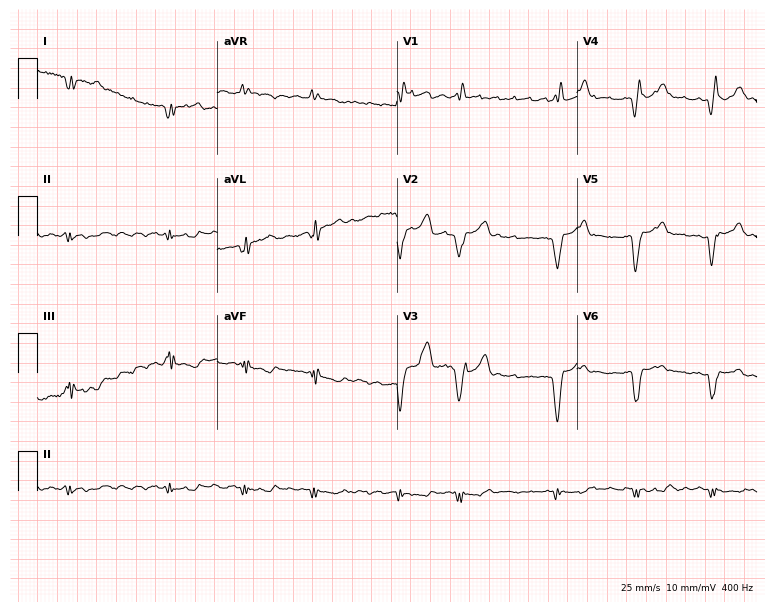
ECG — a 62-year-old man. Findings include right bundle branch block, atrial fibrillation.